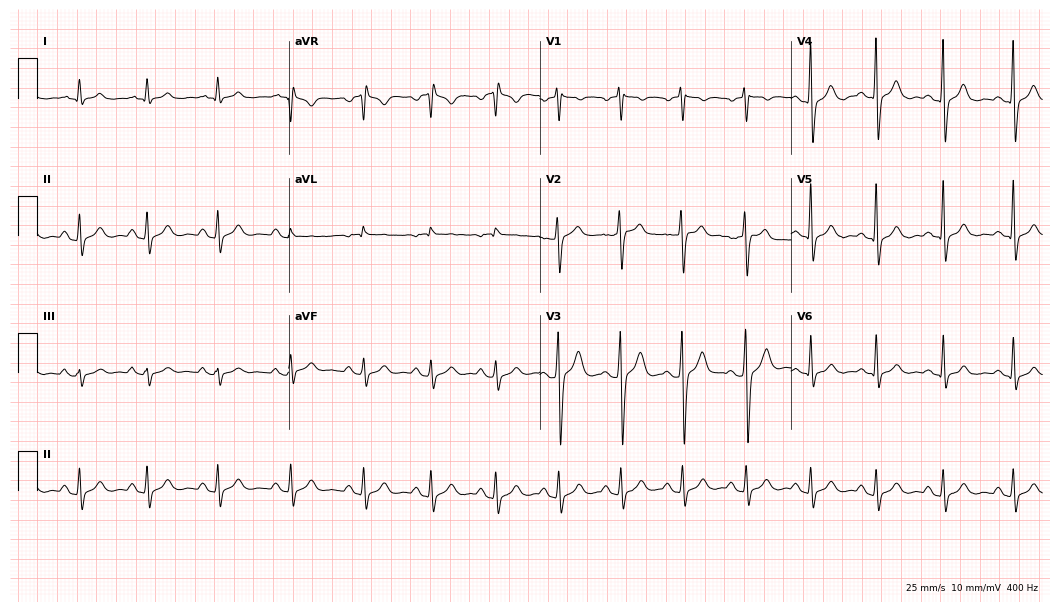
12-lead ECG from a man, 29 years old (10.2-second recording at 400 Hz). Recorded interpretation: within normal limits.